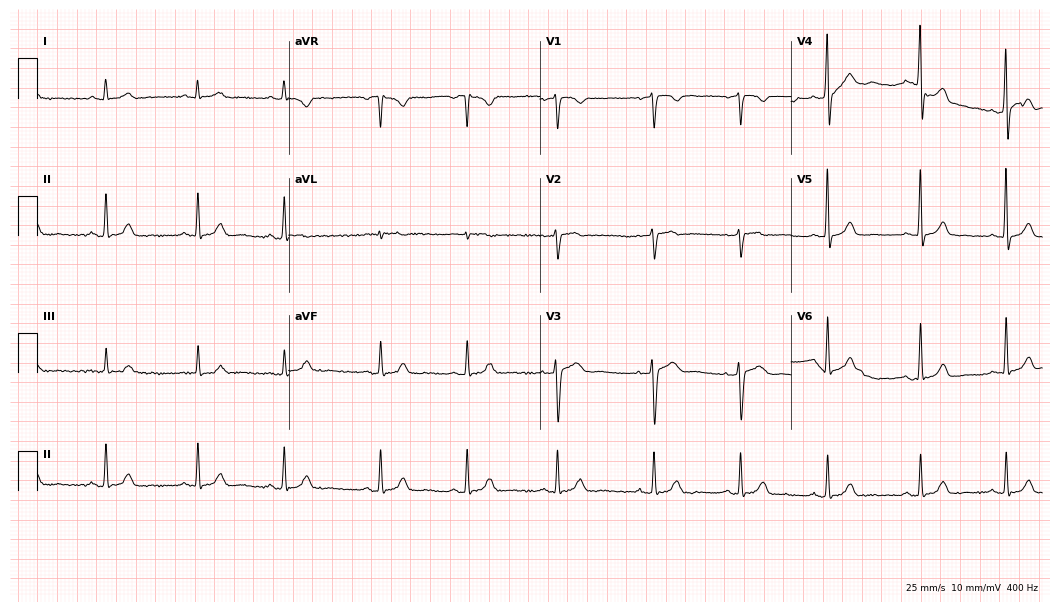
Standard 12-lead ECG recorded from a female, 32 years old. None of these six findings is recorded: first-degree AV block, right bundle branch block, left bundle branch block, sinus bradycardia, atrial fibrillation, sinus tachycardia. Only these six findings were labelled.